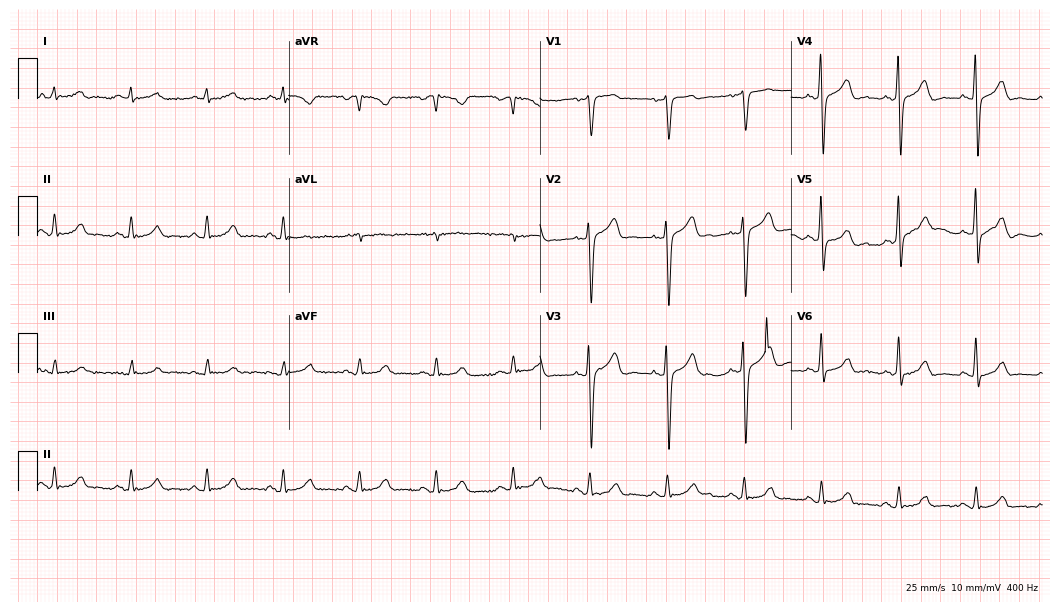
12-lead ECG from a female, 84 years old. Recorded interpretation: within normal limits.